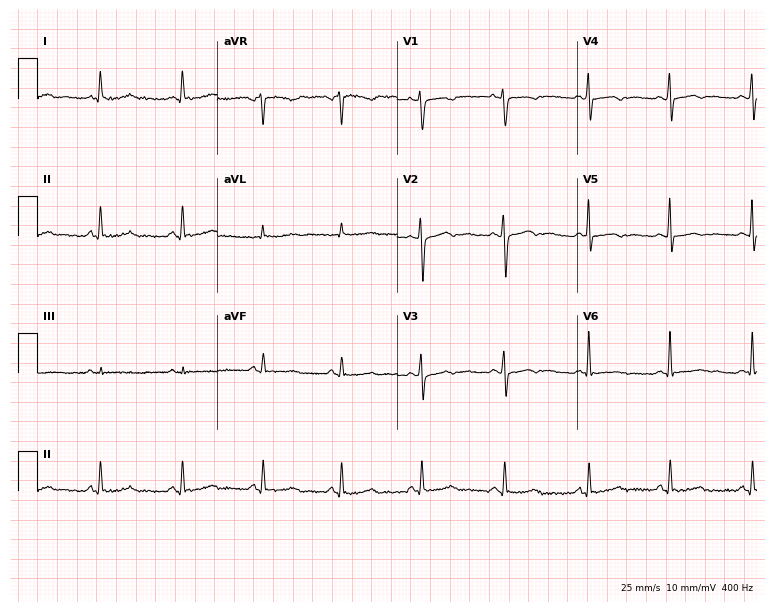
12-lead ECG from a 43-year-old female. No first-degree AV block, right bundle branch block, left bundle branch block, sinus bradycardia, atrial fibrillation or sinus tachycardia recorded for this tracing.